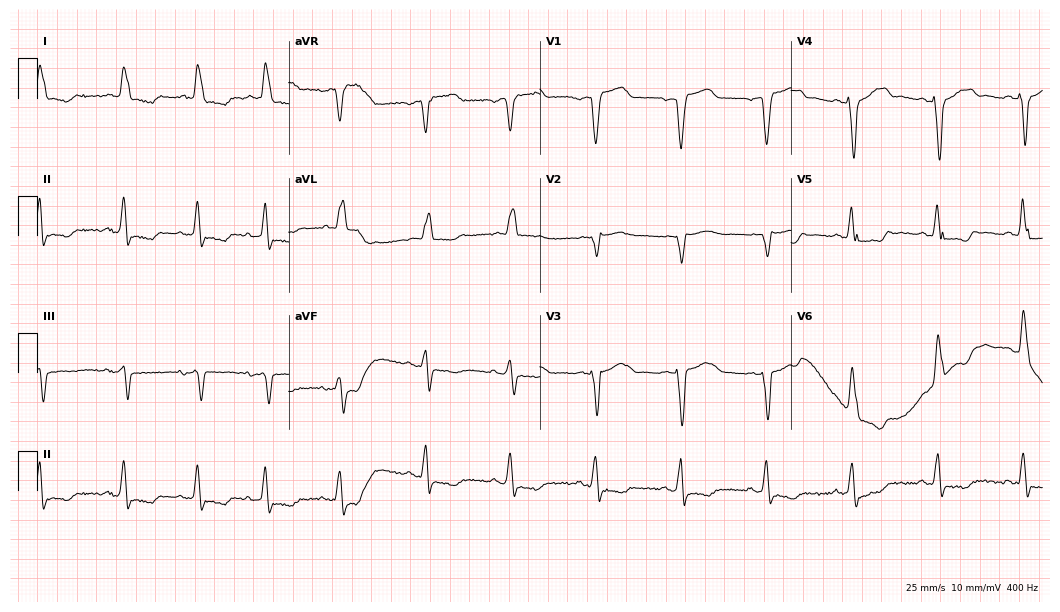
12-lead ECG (10.2-second recording at 400 Hz) from a female patient, 81 years old. Findings include left bundle branch block.